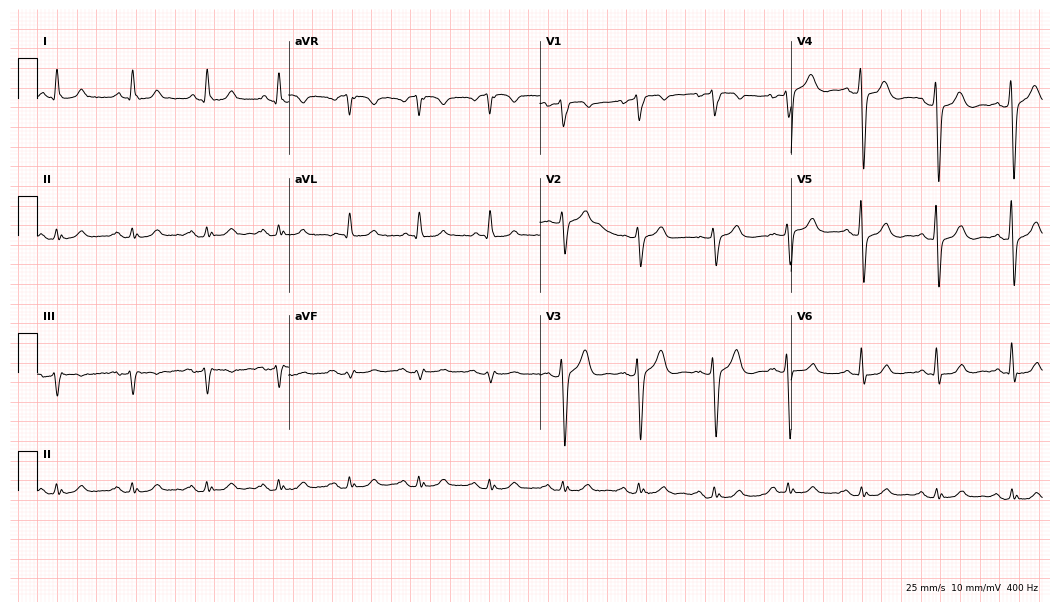
12-lead ECG from a man, 62 years old. Screened for six findings — first-degree AV block, right bundle branch block, left bundle branch block, sinus bradycardia, atrial fibrillation, sinus tachycardia — none is recorded.